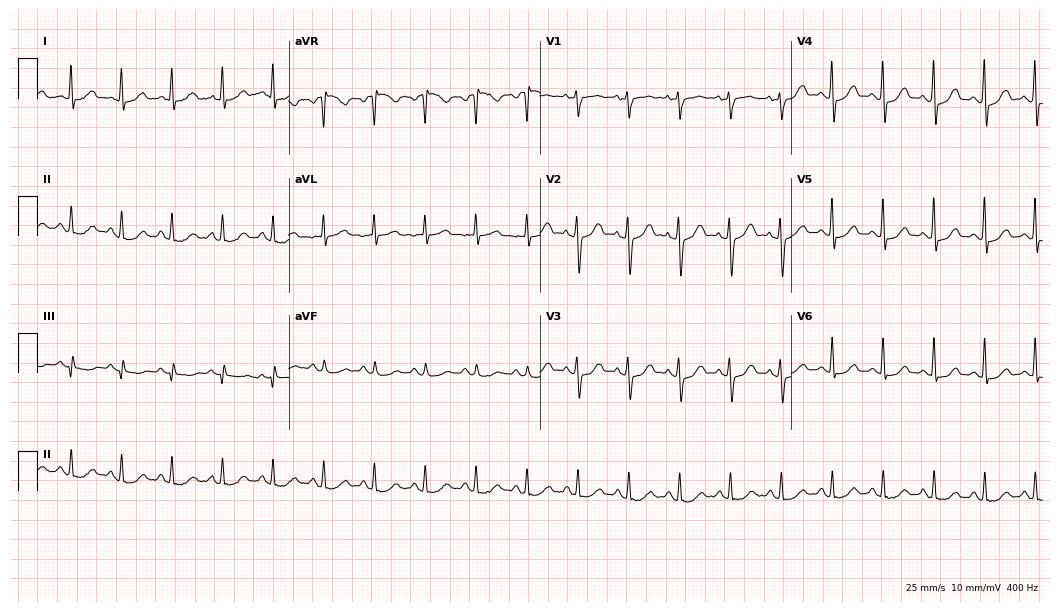
ECG — a 67-year-old female. Findings include sinus tachycardia (a sinus rate of 100 beats per minute or more).